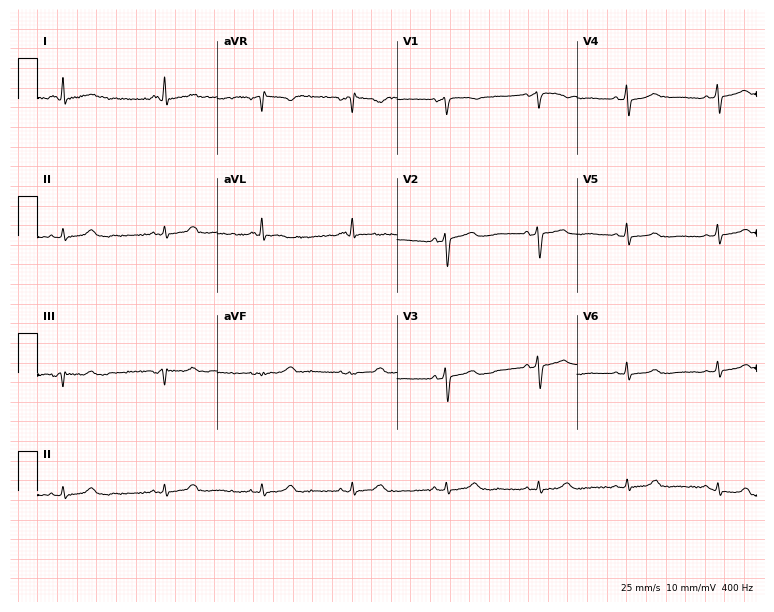
12-lead ECG from a female, 35 years old. No first-degree AV block, right bundle branch block, left bundle branch block, sinus bradycardia, atrial fibrillation or sinus tachycardia recorded for this tracing.